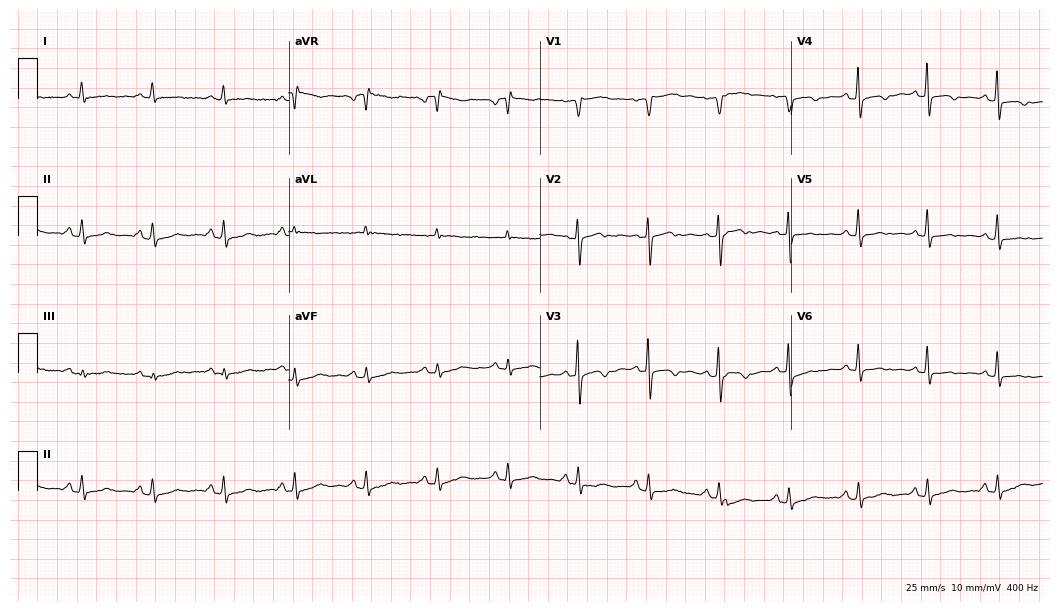
Resting 12-lead electrocardiogram (10.2-second recording at 400 Hz). Patient: a 78-year-old female. None of these six findings is recorded: first-degree AV block, right bundle branch block (RBBB), left bundle branch block (LBBB), sinus bradycardia, atrial fibrillation (AF), sinus tachycardia.